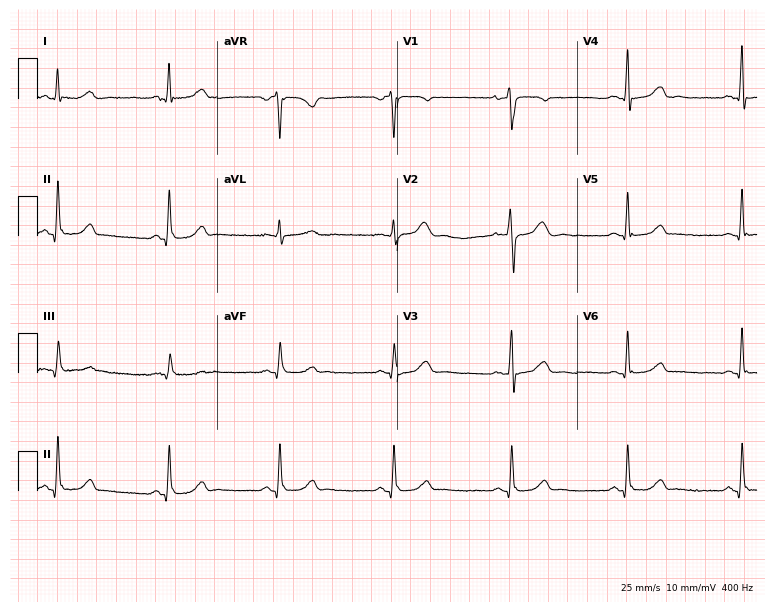
12-lead ECG from a female patient, 42 years old. Recorded interpretation: within normal limits.